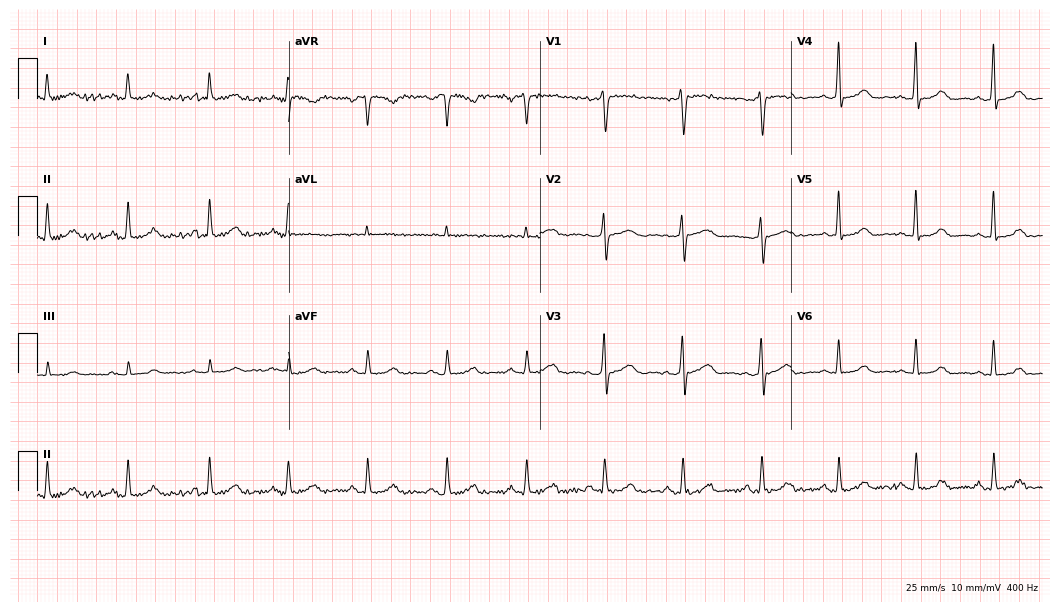
ECG (10.2-second recording at 400 Hz) — a woman, 45 years old. Screened for six findings — first-degree AV block, right bundle branch block (RBBB), left bundle branch block (LBBB), sinus bradycardia, atrial fibrillation (AF), sinus tachycardia — none is recorded.